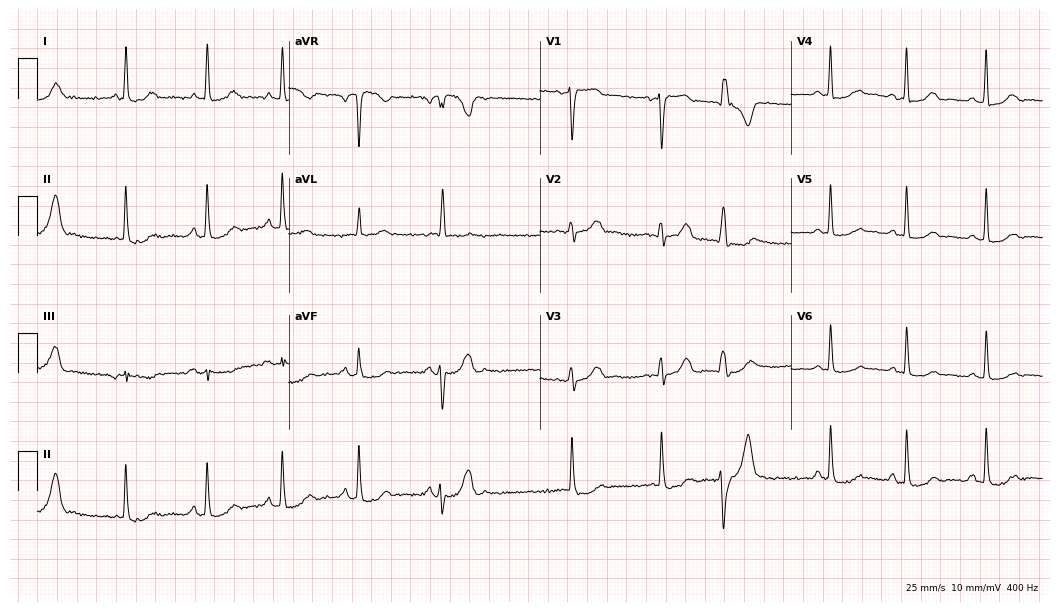
12-lead ECG (10.2-second recording at 400 Hz) from a woman, 73 years old. Screened for six findings — first-degree AV block, right bundle branch block, left bundle branch block, sinus bradycardia, atrial fibrillation, sinus tachycardia — none is recorded. Only these six findings were labelled.